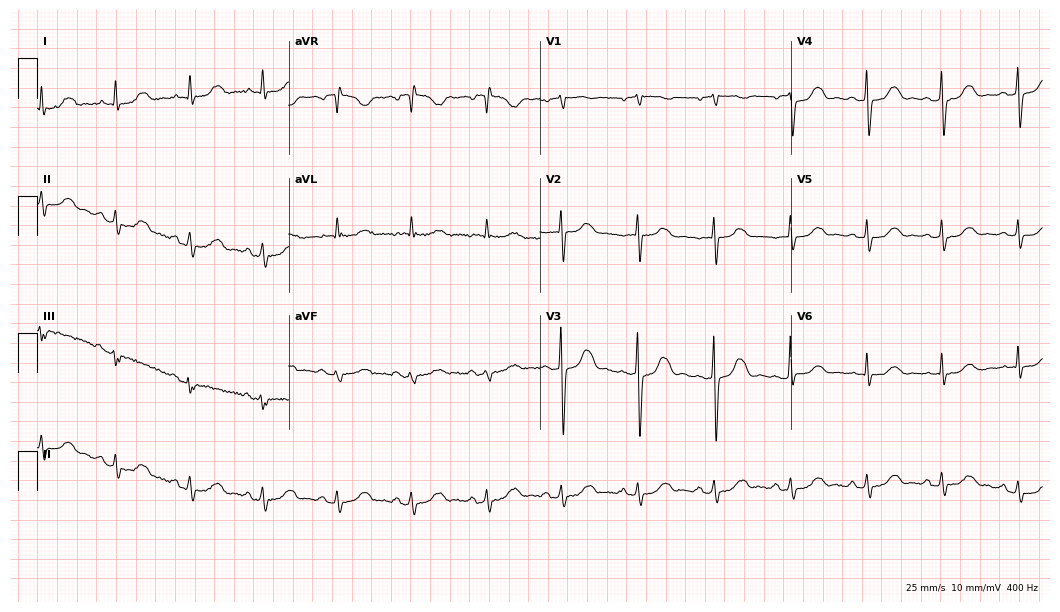
12-lead ECG from a 60-year-old woman. Labelled as a normal ECG.